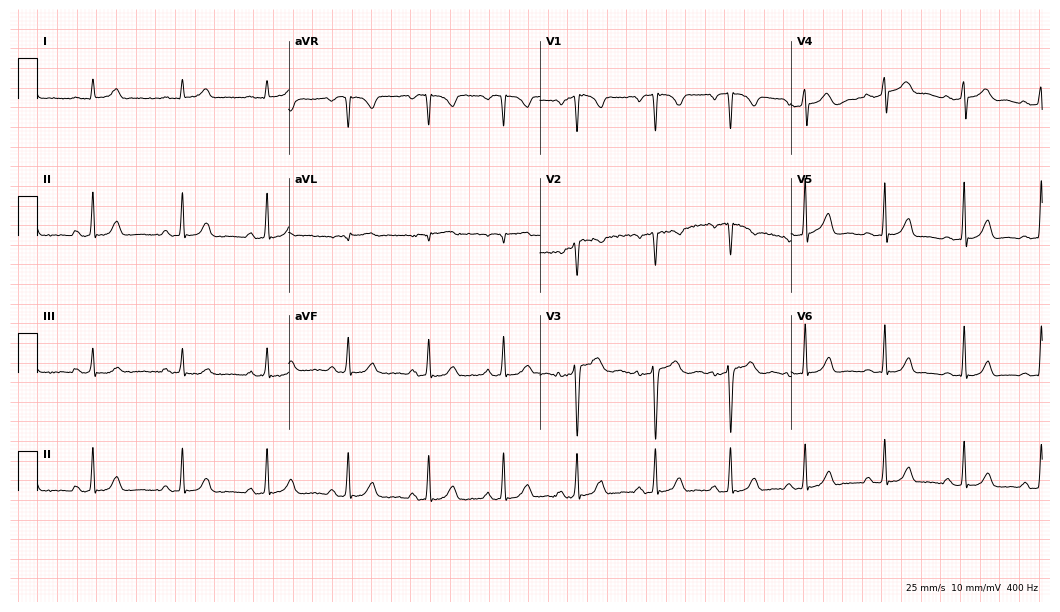
12-lead ECG from a woman, 26 years old. Labelled as a normal ECG.